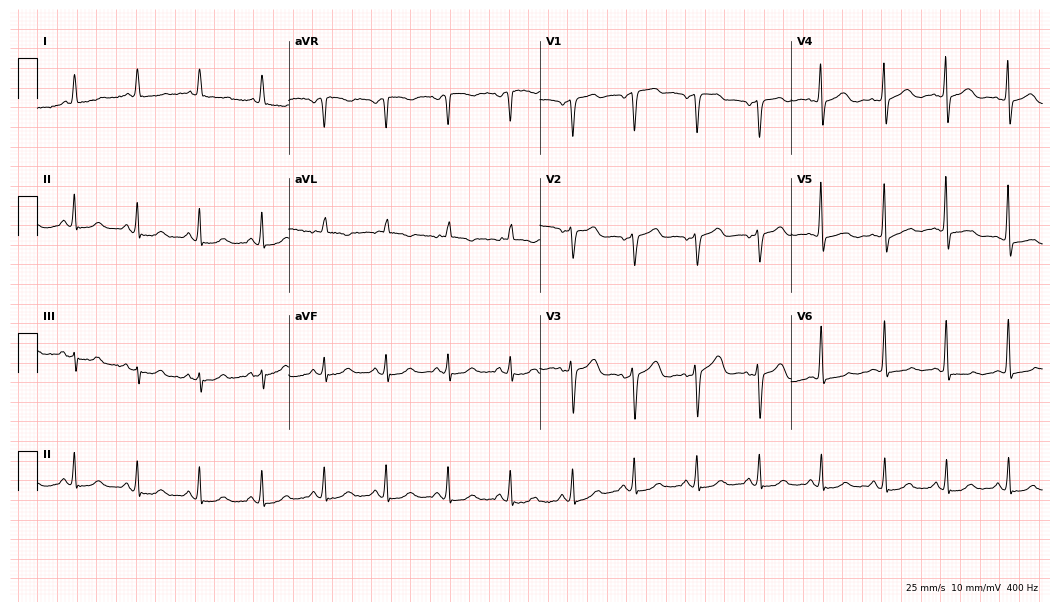
12-lead ECG (10.2-second recording at 400 Hz) from an 85-year-old female patient. Screened for six findings — first-degree AV block, right bundle branch block, left bundle branch block, sinus bradycardia, atrial fibrillation, sinus tachycardia — none is recorded. Findings outside these six are not listed.